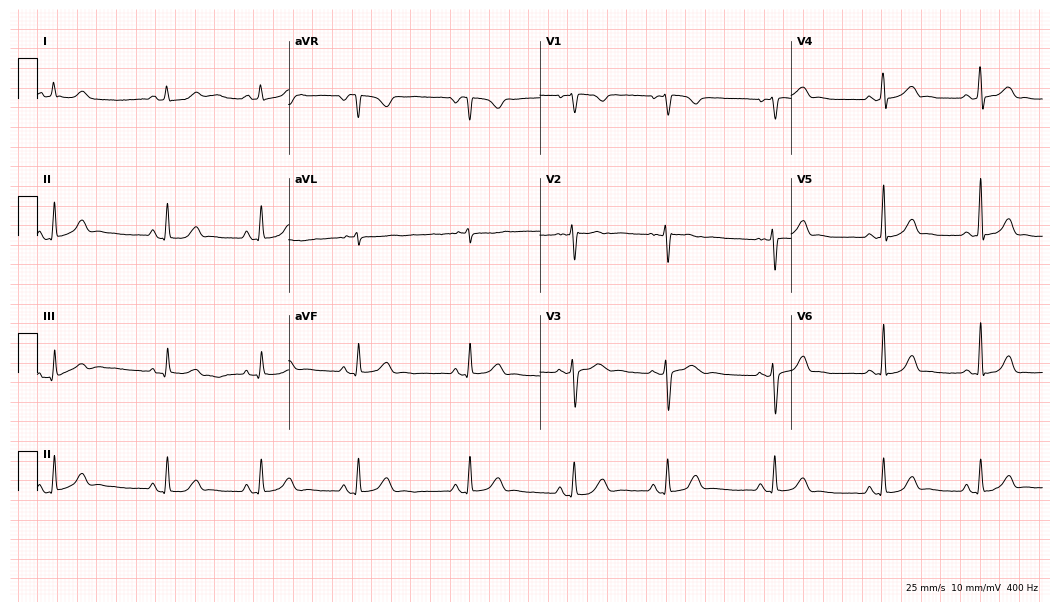
12-lead ECG from a 22-year-old female patient. Recorded interpretation: within normal limits.